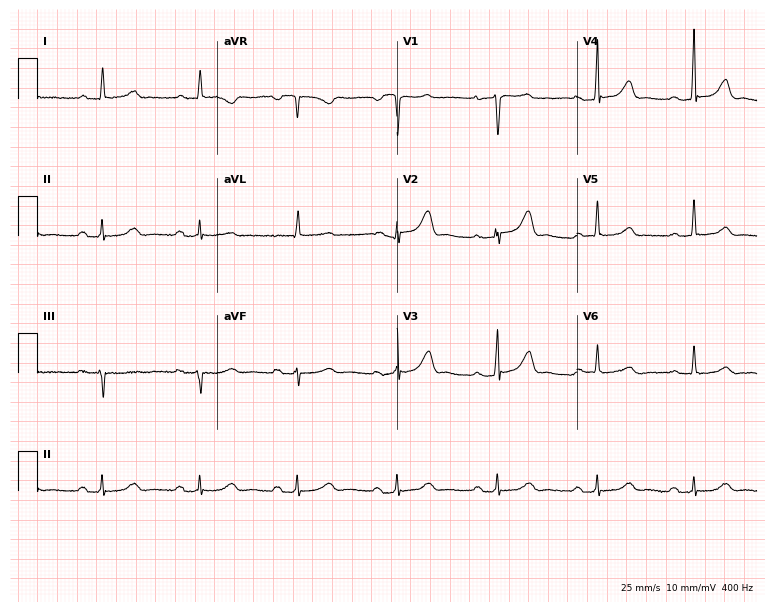
12-lead ECG from a female, 60 years old. Findings include first-degree AV block.